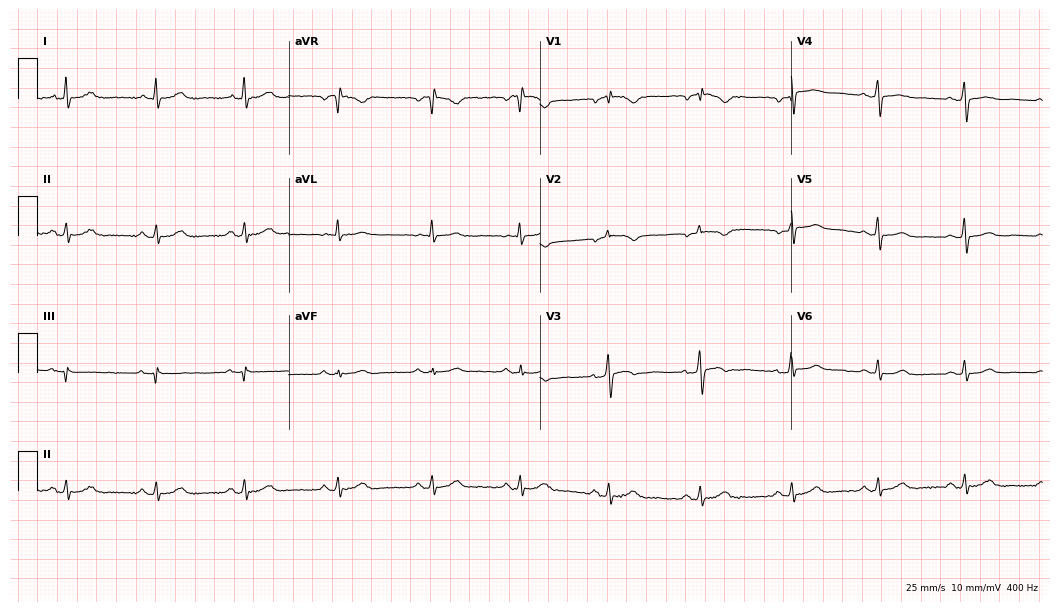
ECG — a female patient, 67 years old. Screened for six findings — first-degree AV block, right bundle branch block, left bundle branch block, sinus bradycardia, atrial fibrillation, sinus tachycardia — none is recorded.